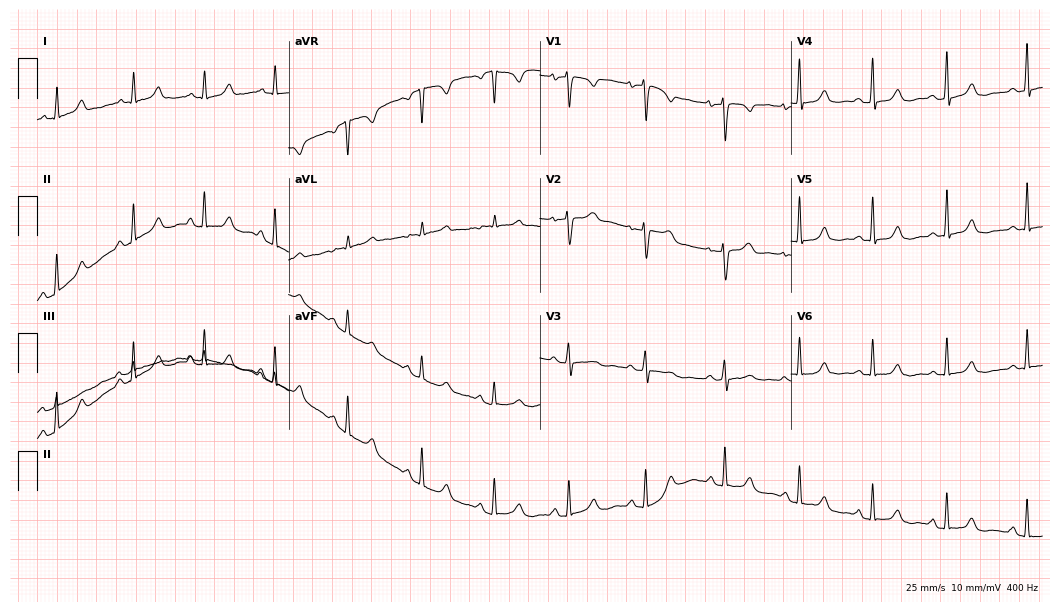
12-lead ECG from a female, 33 years old (10.2-second recording at 400 Hz). No first-degree AV block, right bundle branch block, left bundle branch block, sinus bradycardia, atrial fibrillation or sinus tachycardia recorded for this tracing.